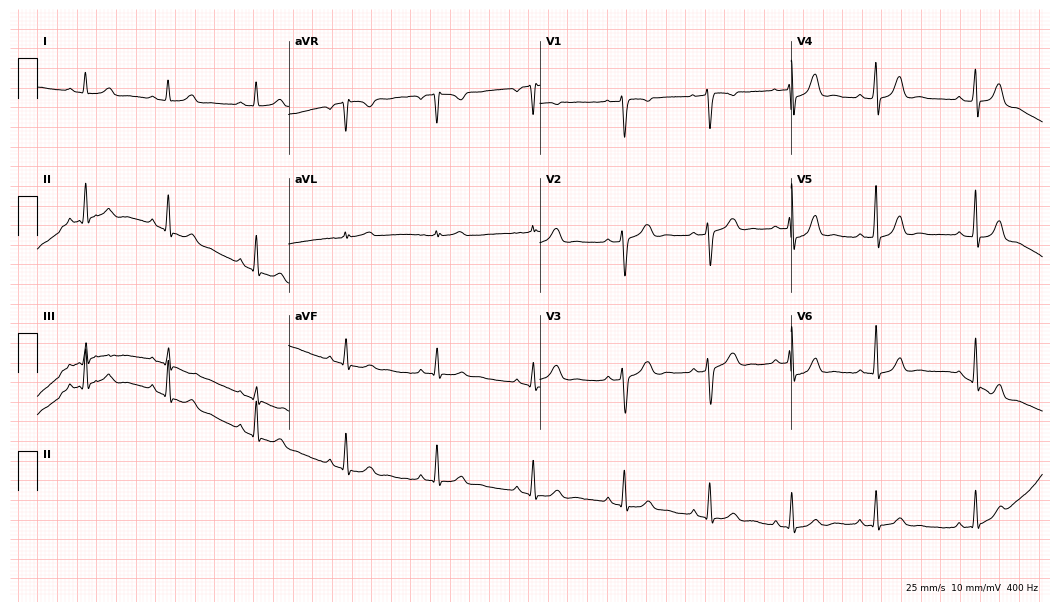
Standard 12-lead ECG recorded from a 28-year-old woman (10.2-second recording at 400 Hz). Read as a normal ECG.